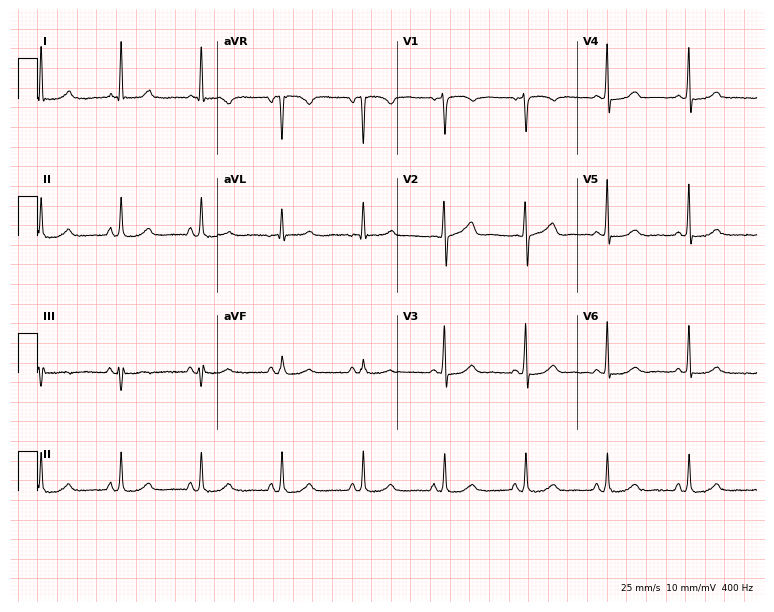
ECG — a woman, 51 years old. Screened for six findings — first-degree AV block, right bundle branch block (RBBB), left bundle branch block (LBBB), sinus bradycardia, atrial fibrillation (AF), sinus tachycardia — none is recorded. Other findings, if any, are not listed.